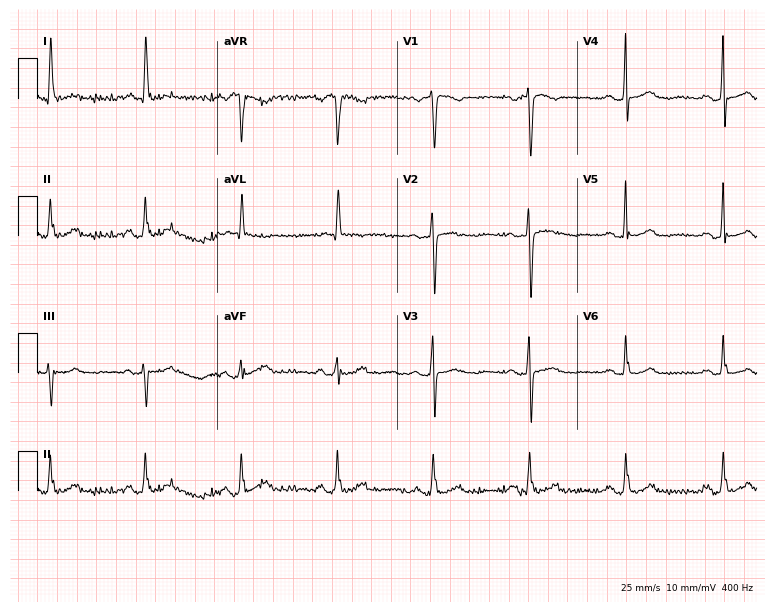
Electrocardiogram (7.3-second recording at 400 Hz), an 80-year-old woman. Of the six screened findings (first-degree AV block, right bundle branch block, left bundle branch block, sinus bradycardia, atrial fibrillation, sinus tachycardia), none is recorded. Findings outside these six are not listed.